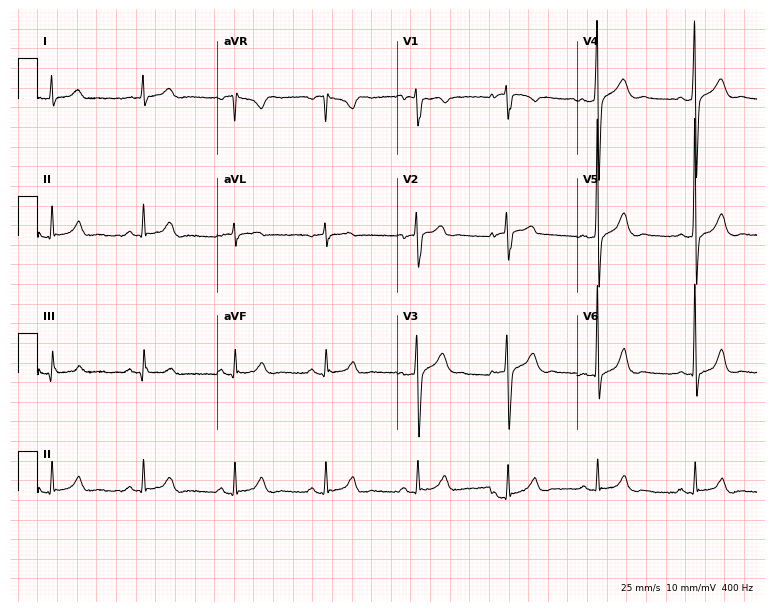
Resting 12-lead electrocardiogram. Patient: a 44-year-old man. Read as a normal ECG.